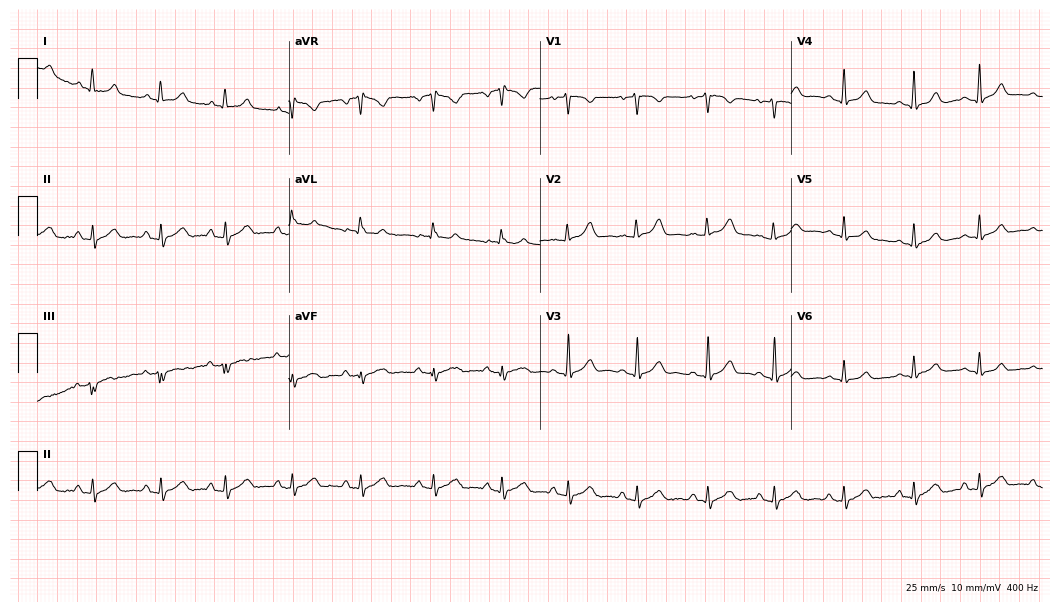
Electrocardiogram, a 26-year-old female patient. Overall reading on record: normal ECG.